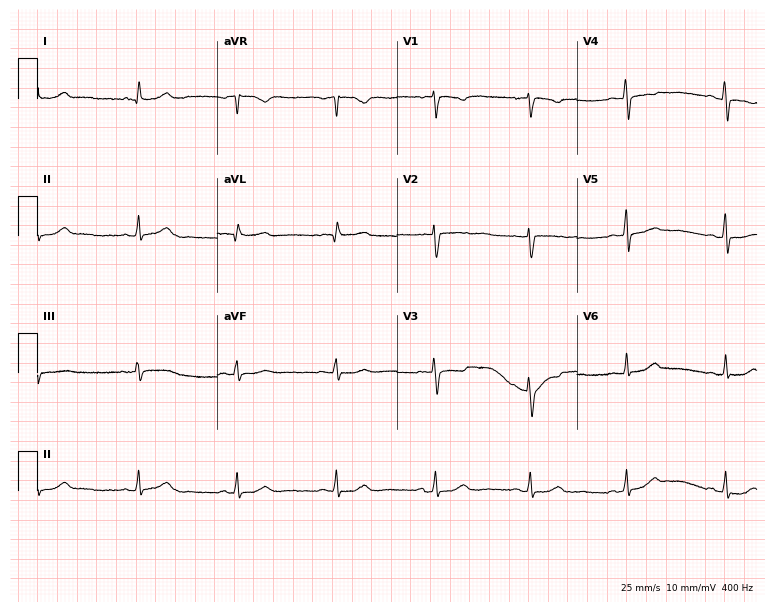
Resting 12-lead electrocardiogram. Patient: a 38-year-old woman. None of these six findings is recorded: first-degree AV block, right bundle branch block (RBBB), left bundle branch block (LBBB), sinus bradycardia, atrial fibrillation (AF), sinus tachycardia. Other findings, if any, are not listed.